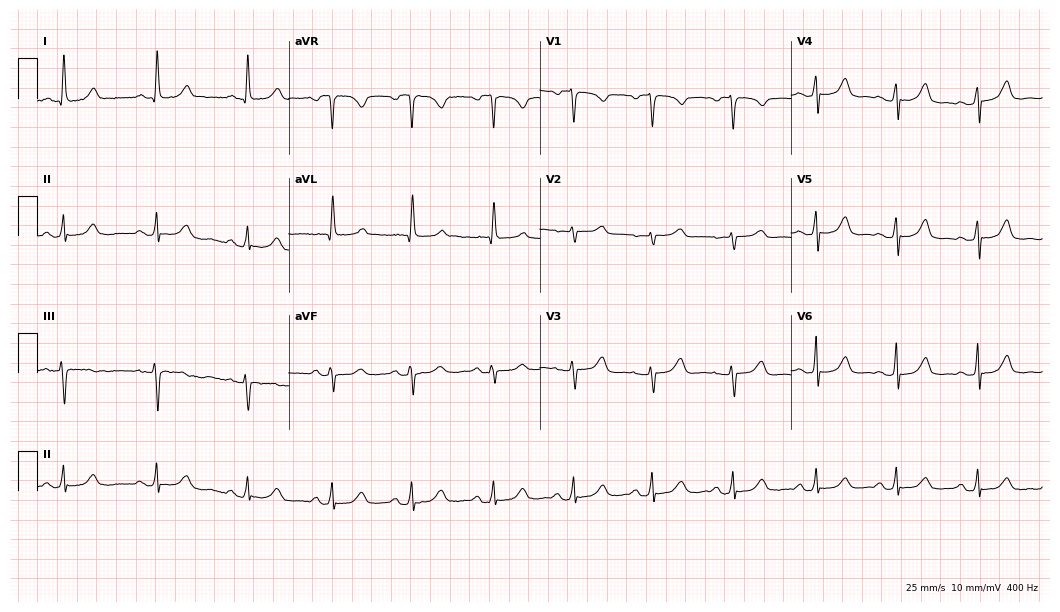
12-lead ECG from a 74-year-old female. Screened for six findings — first-degree AV block, right bundle branch block, left bundle branch block, sinus bradycardia, atrial fibrillation, sinus tachycardia — none is recorded.